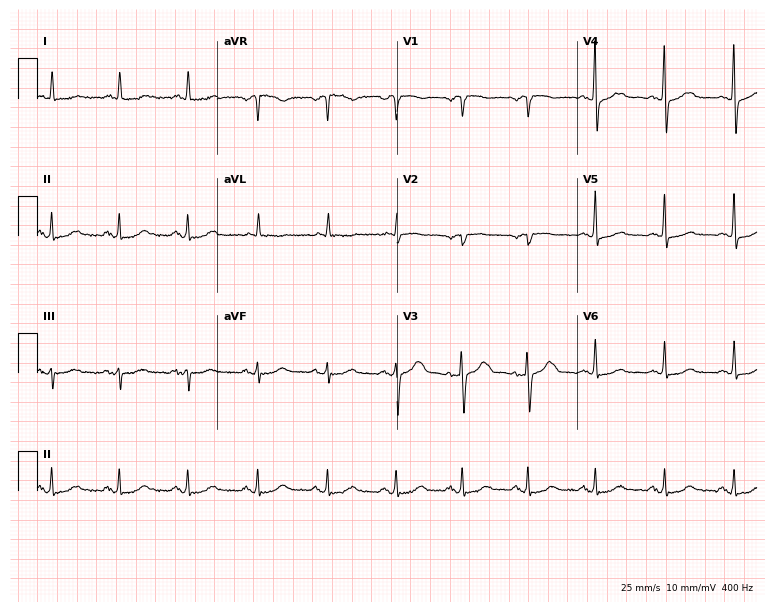
Standard 12-lead ECG recorded from a 61-year-old female (7.3-second recording at 400 Hz). Read as a normal ECG.